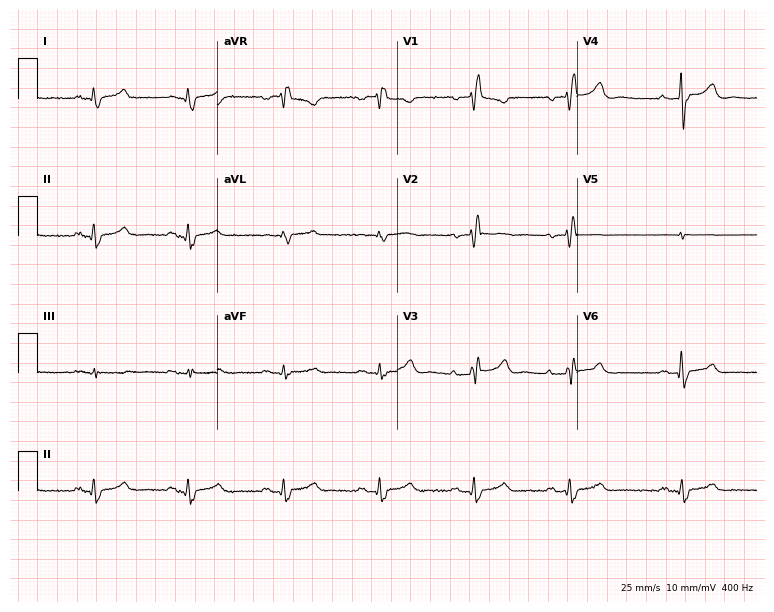
Resting 12-lead electrocardiogram (7.3-second recording at 400 Hz). Patient: a 54-year-old male. None of these six findings is recorded: first-degree AV block, right bundle branch block, left bundle branch block, sinus bradycardia, atrial fibrillation, sinus tachycardia. Only these six findings were labelled.